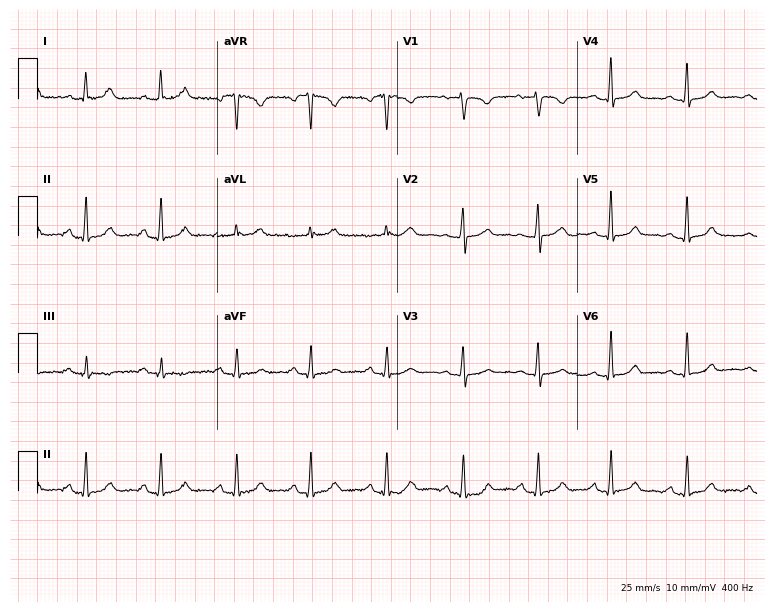
Resting 12-lead electrocardiogram. Patient: a 34-year-old woman. Read as a normal ECG.